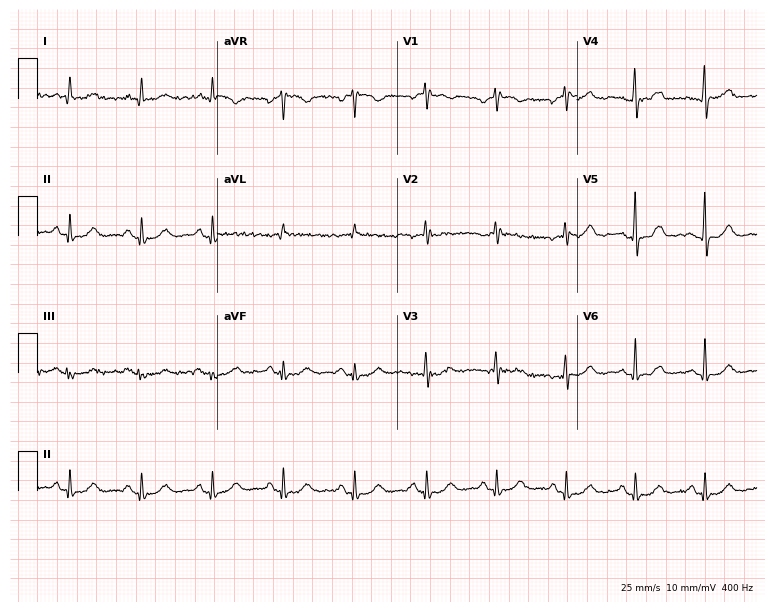
12-lead ECG (7.3-second recording at 400 Hz) from a woman, 70 years old. Screened for six findings — first-degree AV block, right bundle branch block, left bundle branch block, sinus bradycardia, atrial fibrillation, sinus tachycardia — none is recorded. Only these six findings were labelled.